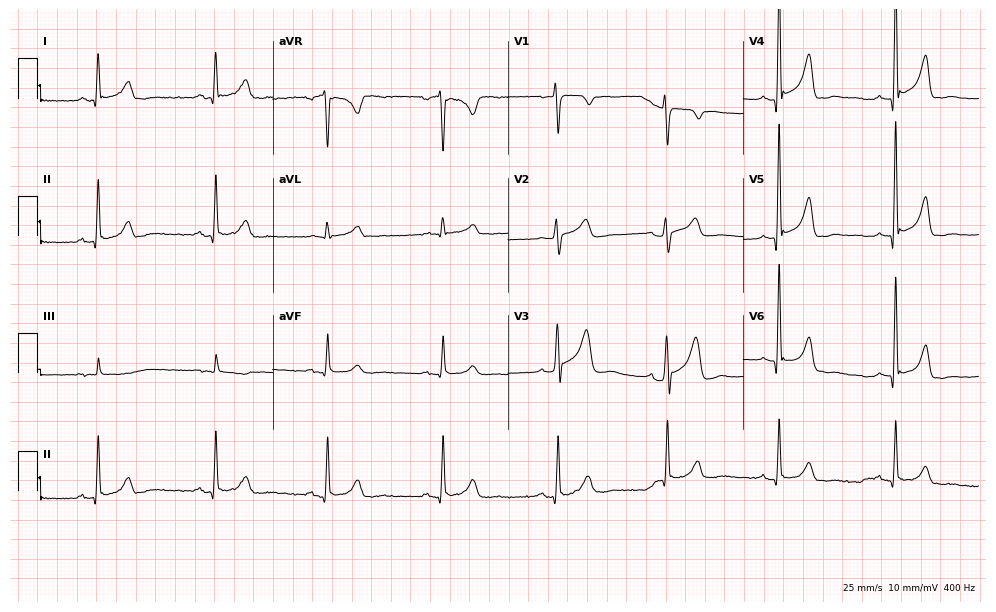
ECG (9.6-second recording at 400 Hz) — a man, 70 years old. Screened for six findings — first-degree AV block, right bundle branch block, left bundle branch block, sinus bradycardia, atrial fibrillation, sinus tachycardia — none is recorded.